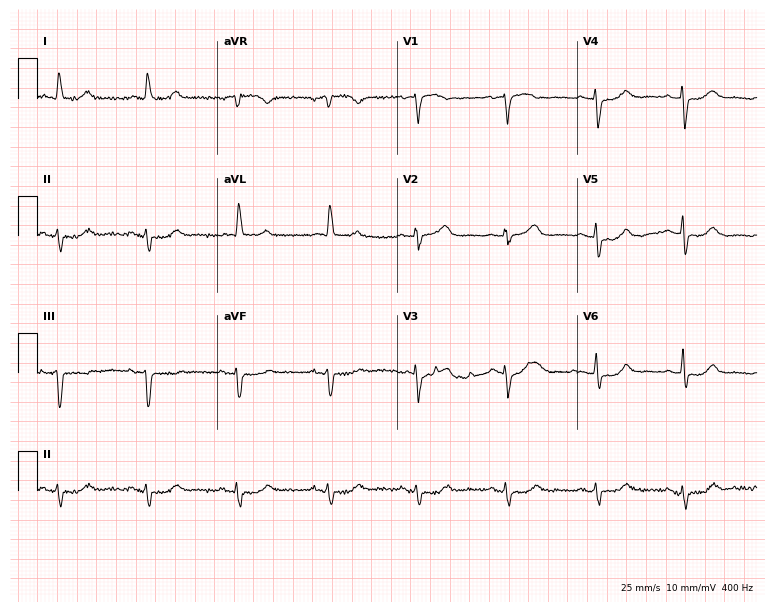
ECG — a woman, 85 years old. Screened for six findings — first-degree AV block, right bundle branch block (RBBB), left bundle branch block (LBBB), sinus bradycardia, atrial fibrillation (AF), sinus tachycardia — none is recorded.